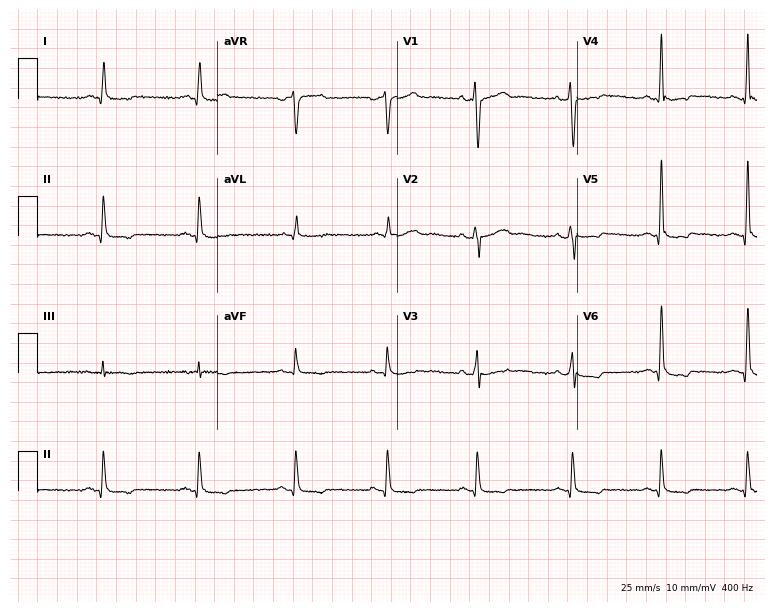
ECG — a 41-year-old man. Screened for six findings — first-degree AV block, right bundle branch block, left bundle branch block, sinus bradycardia, atrial fibrillation, sinus tachycardia — none is recorded. Other findings, if any, are not listed.